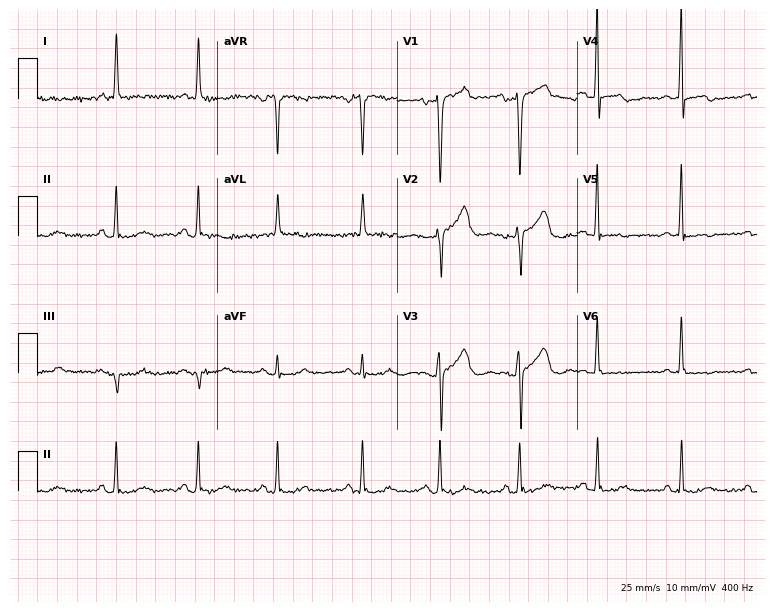
12-lead ECG (7.3-second recording at 400 Hz) from a woman, 85 years old. Screened for six findings — first-degree AV block, right bundle branch block, left bundle branch block, sinus bradycardia, atrial fibrillation, sinus tachycardia — none is recorded. Findings outside these six are not listed.